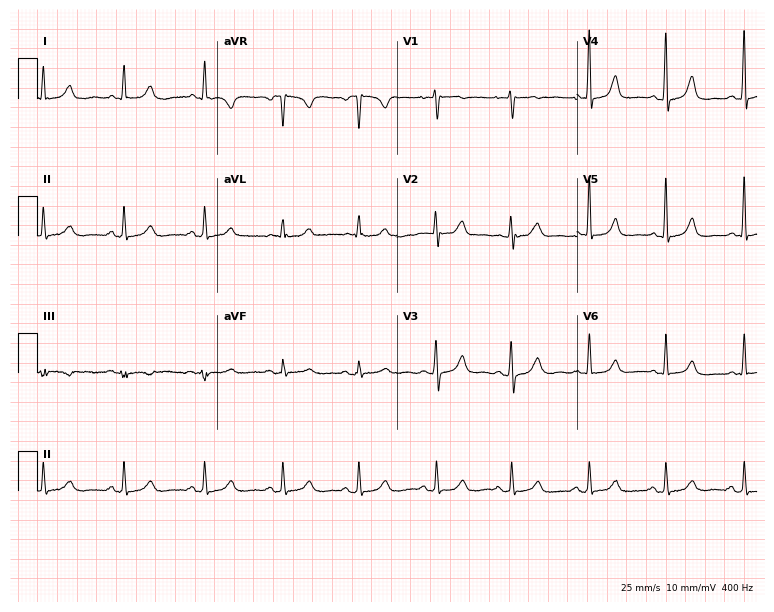
Resting 12-lead electrocardiogram. Patient: a 46-year-old female. Read as a normal ECG.